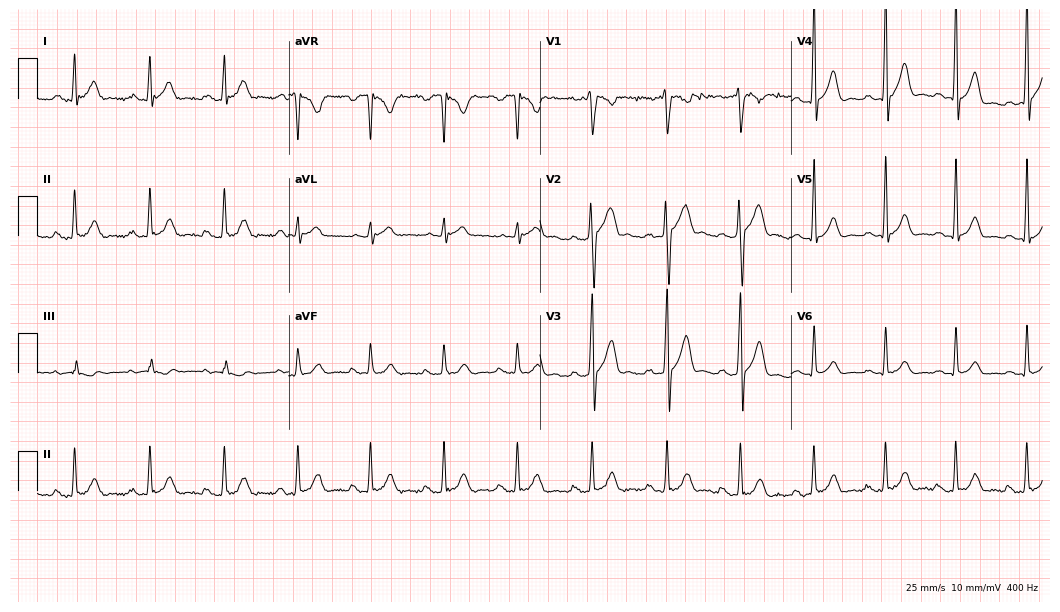
Electrocardiogram, a male, 22 years old. Of the six screened findings (first-degree AV block, right bundle branch block, left bundle branch block, sinus bradycardia, atrial fibrillation, sinus tachycardia), none is recorded.